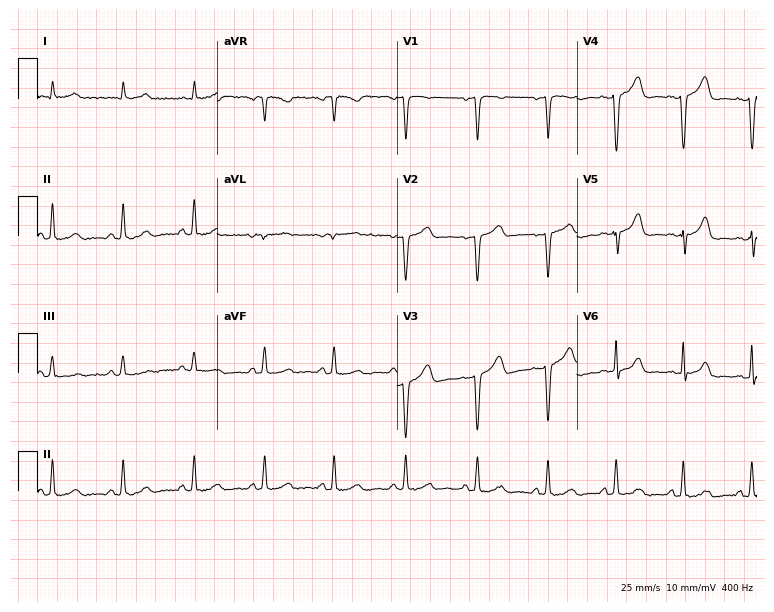
Resting 12-lead electrocardiogram. Patient: a female, 49 years old. None of these six findings is recorded: first-degree AV block, right bundle branch block, left bundle branch block, sinus bradycardia, atrial fibrillation, sinus tachycardia. Findings outside these six are not listed.